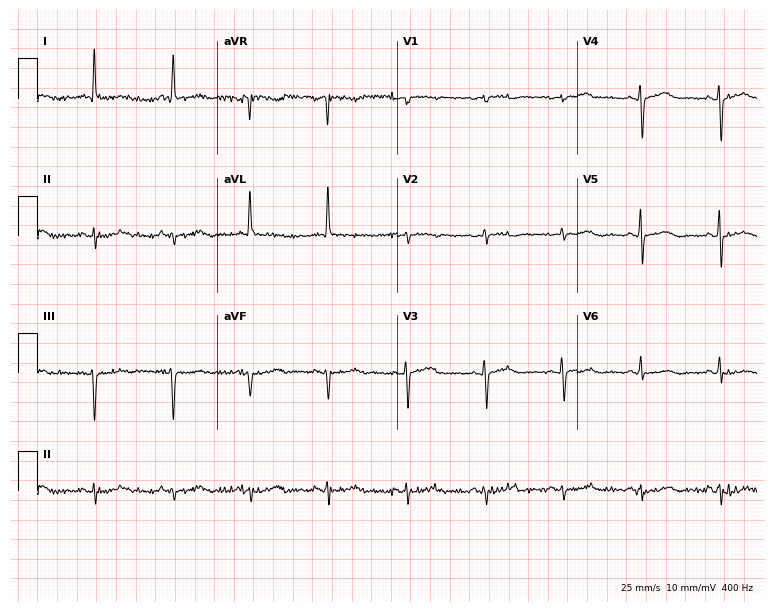
ECG — a 74-year-old woman. Screened for six findings — first-degree AV block, right bundle branch block, left bundle branch block, sinus bradycardia, atrial fibrillation, sinus tachycardia — none is recorded.